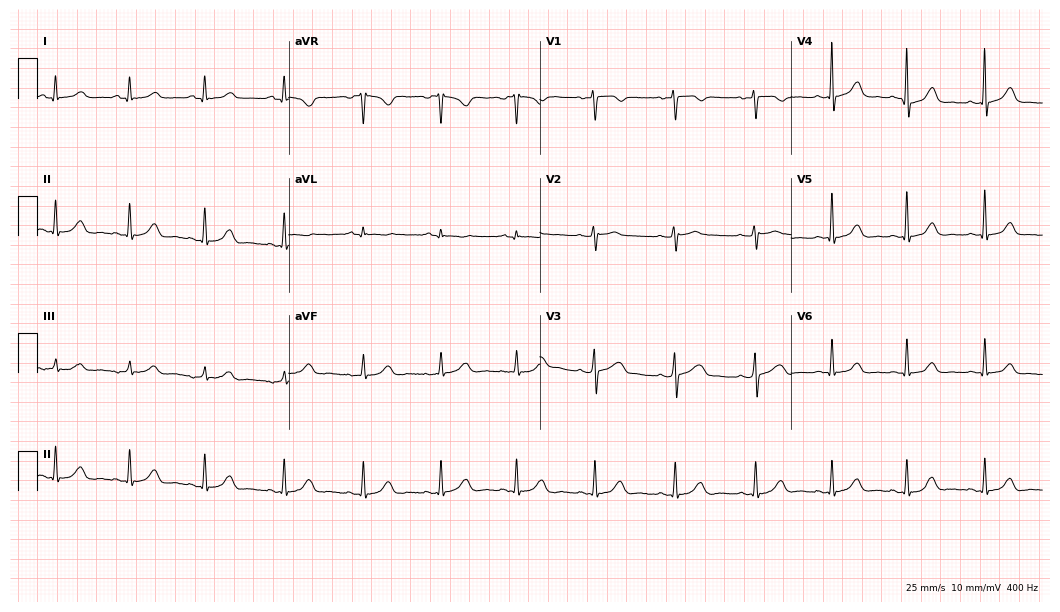
Electrocardiogram (10.2-second recording at 400 Hz), a 33-year-old female. Overall reading on record: normal ECG.